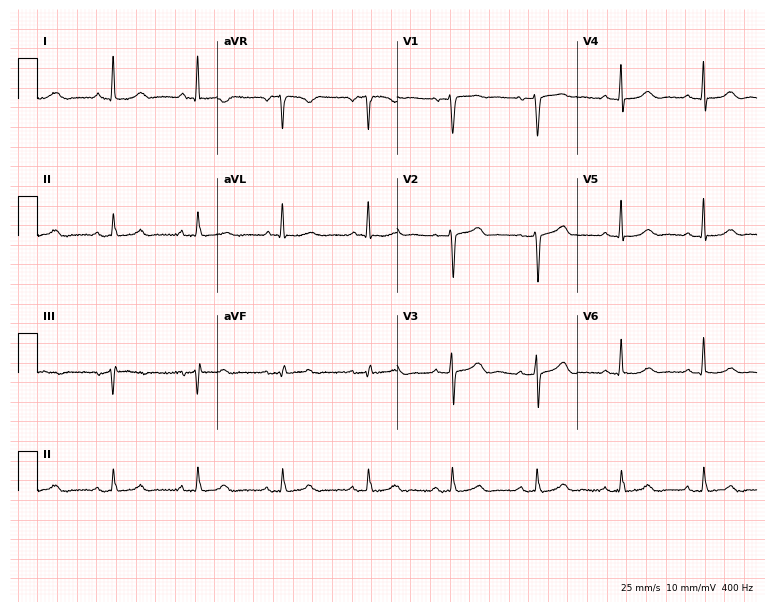
Standard 12-lead ECG recorded from a female patient, 76 years old (7.3-second recording at 400 Hz). Read as a normal ECG.